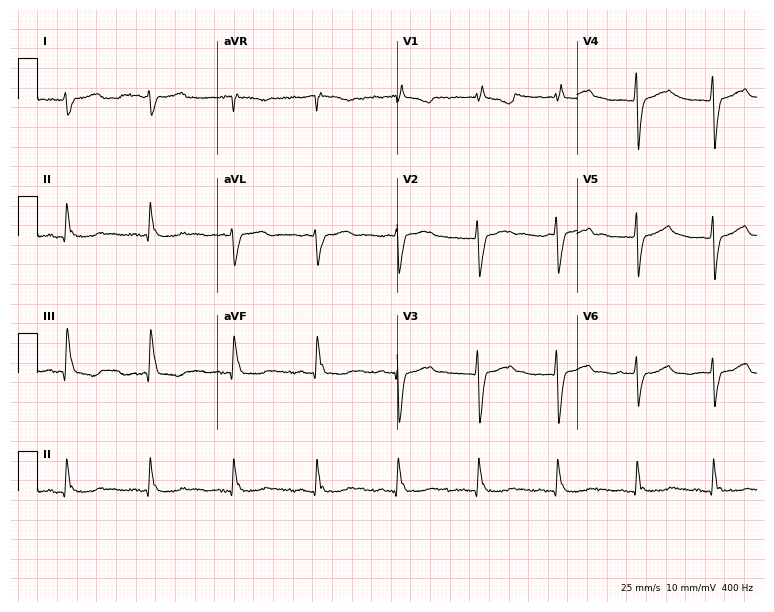
12-lead ECG from a female patient, 63 years old. Findings include right bundle branch block.